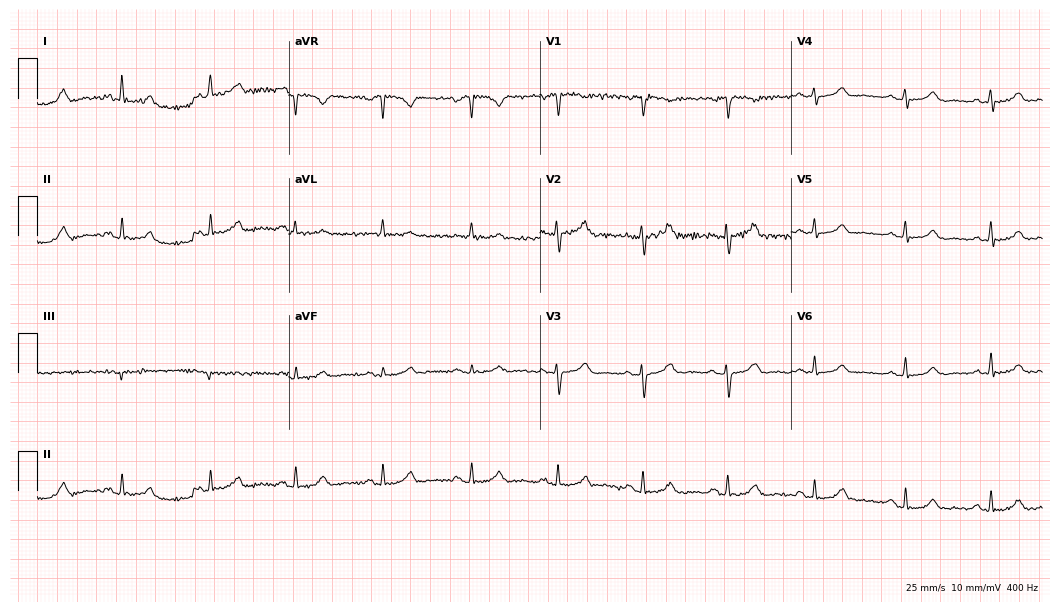
Electrocardiogram (10.2-second recording at 400 Hz), a female patient, 61 years old. Of the six screened findings (first-degree AV block, right bundle branch block (RBBB), left bundle branch block (LBBB), sinus bradycardia, atrial fibrillation (AF), sinus tachycardia), none is recorded.